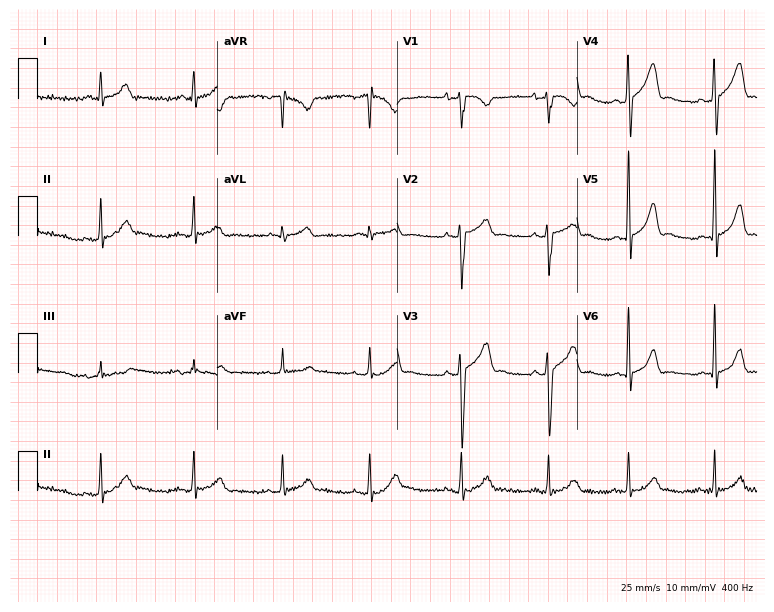
12-lead ECG from a male patient, 17 years old. Recorded interpretation: within normal limits.